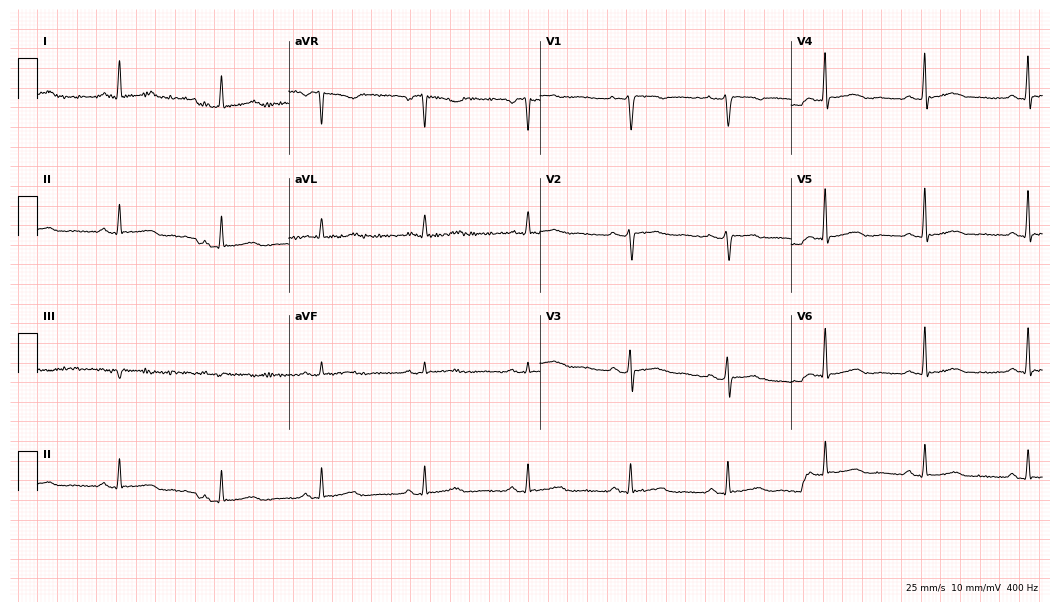
Standard 12-lead ECG recorded from a woman, 57 years old. None of these six findings is recorded: first-degree AV block, right bundle branch block, left bundle branch block, sinus bradycardia, atrial fibrillation, sinus tachycardia.